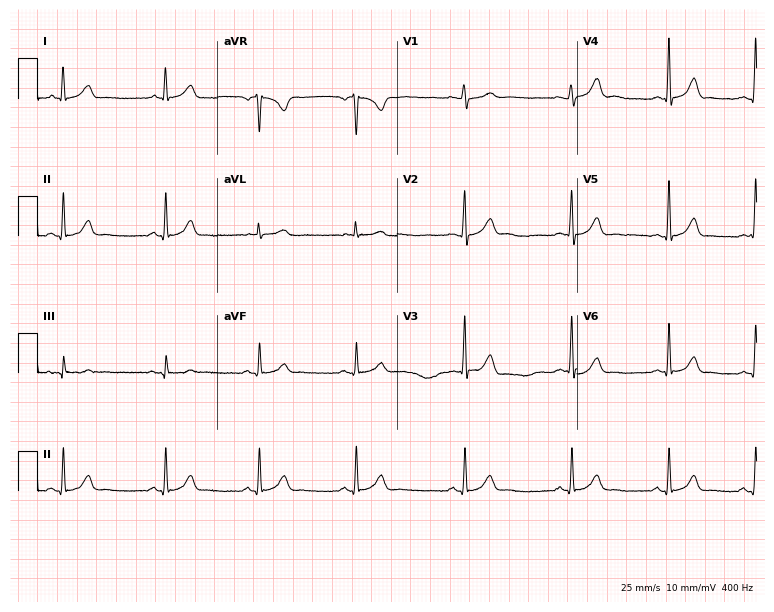
ECG (7.3-second recording at 400 Hz) — a female patient, 20 years old. Labelled as a normal ECG.